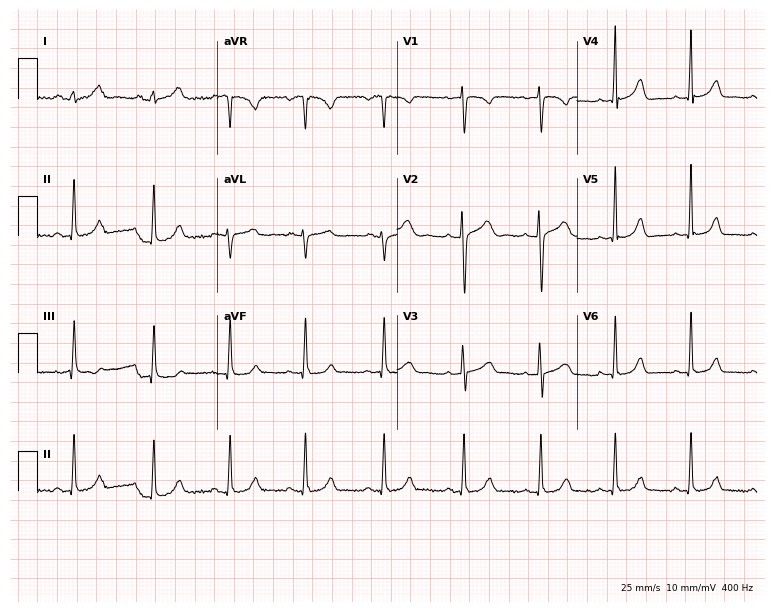
Standard 12-lead ECG recorded from a female patient, 27 years old. Read as a normal ECG.